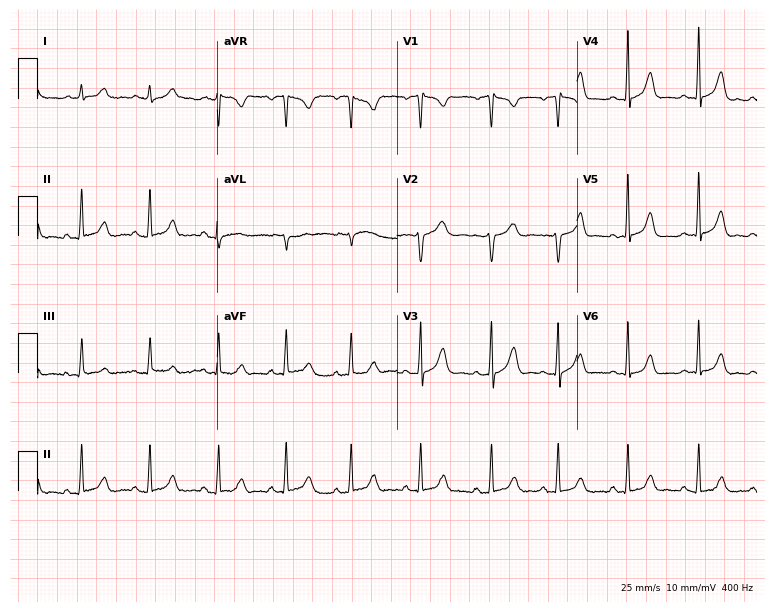
ECG — a woman, 22 years old. Screened for six findings — first-degree AV block, right bundle branch block, left bundle branch block, sinus bradycardia, atrial fibrillation, sinus tachycardia — none is recorded. Only these six findings were labelled.